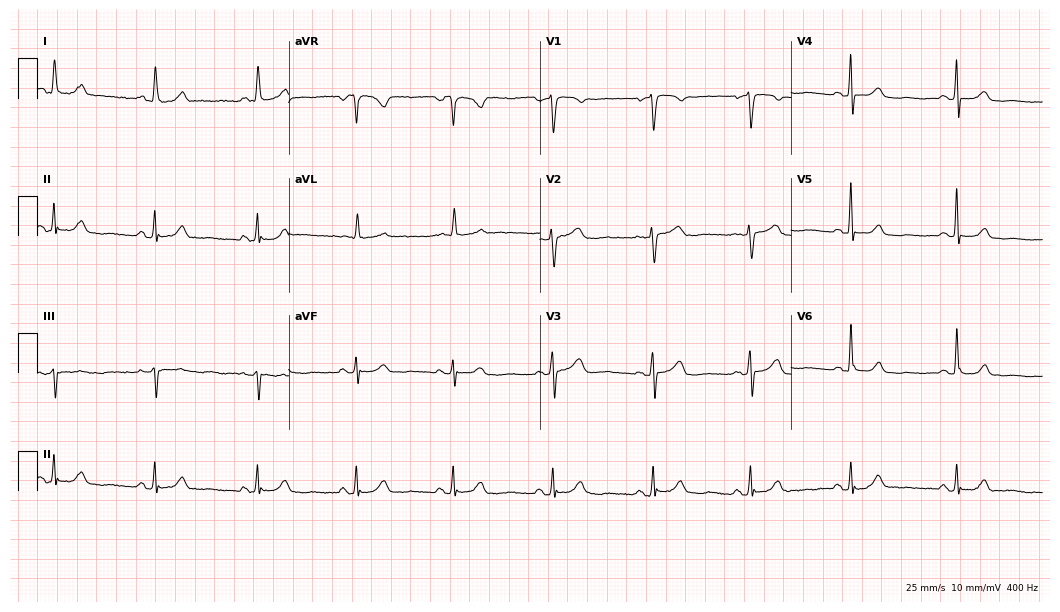
Standard 12-lead ECG recorded from a 74-year-old female patient. Read as a normal ECG.